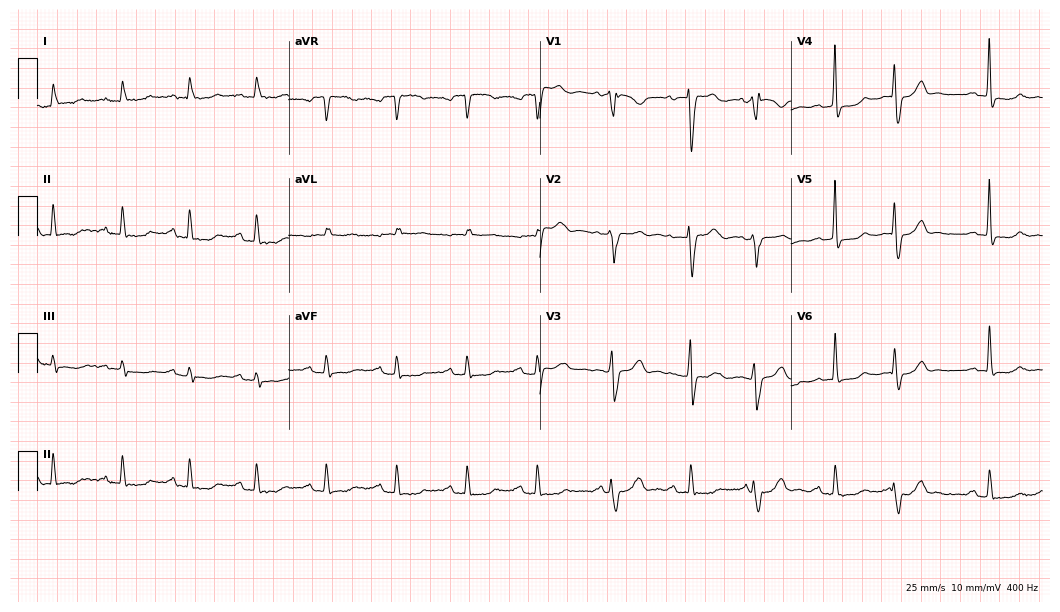
ECG (10.2-second recording at 400 Hz) — a female, 83 years old. Screened for six findings — first-degree AV block, right bundle branch block, left bundle branch block, sinus bradycardia, atrial fibrillation, sinus tachycardia — none is recorded. Other findings, if any, are not listed.